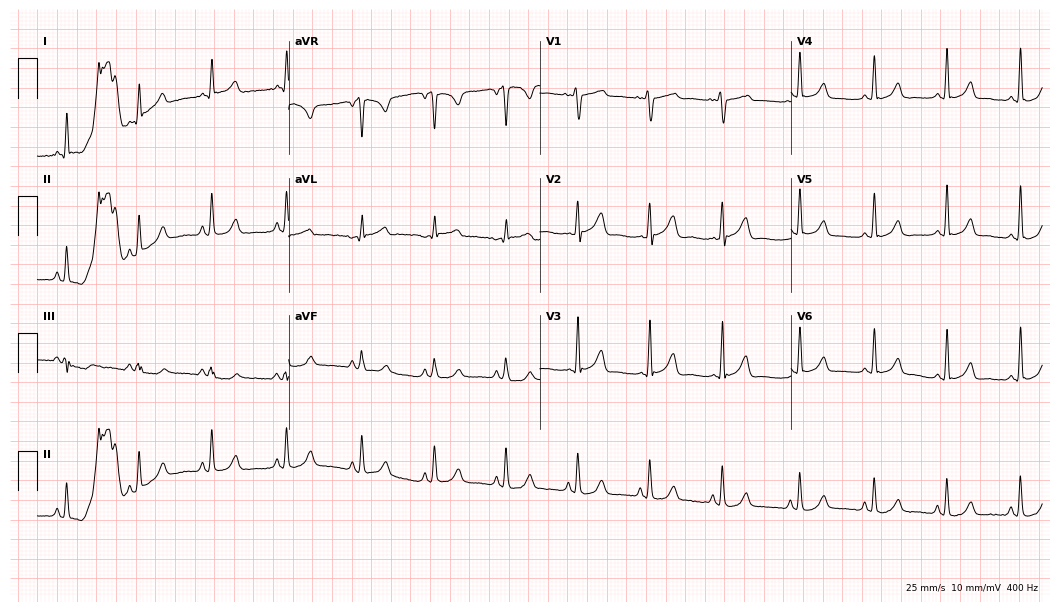
ECG — a 36-year-old woman. Labelled as a normal ECG.